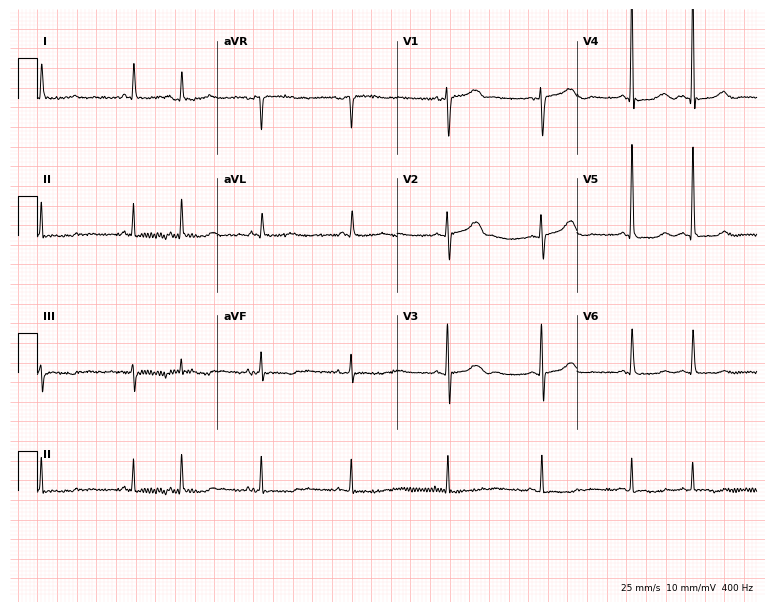
12-lead ECG from an 80-year-old female patient. Screened for six findings — first-degree AV block, right bundle branch block, left bundle branch block, sinus bradycardia, atrial fibrillation, sinus tachycardia — none is recorded. Other findings, if any, are not listed.